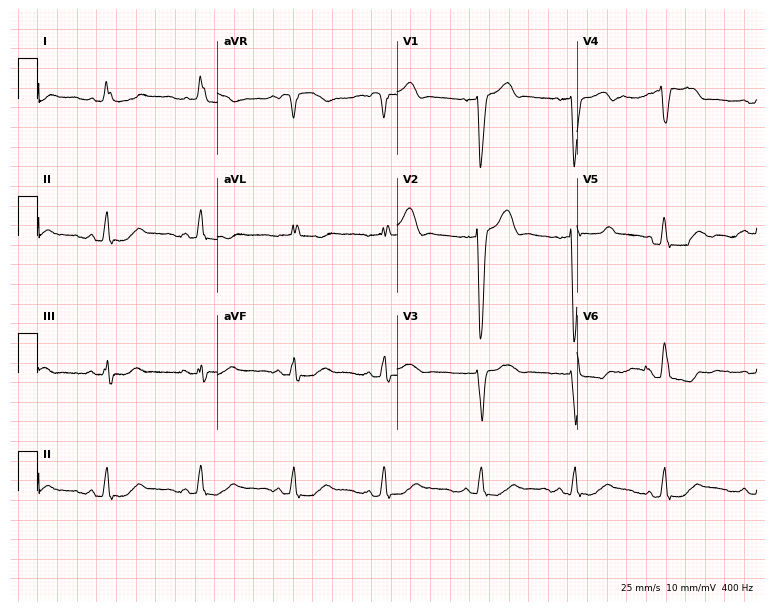
Electrocardiogram (7.3-second recording at 400 Hz), an 85-year-old female. Interpretation includes left bundle branch block (LBBB).